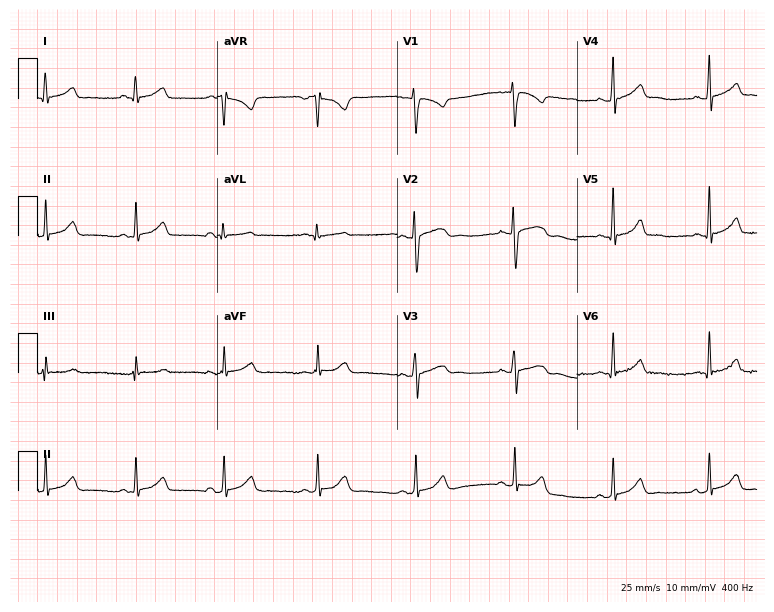
Electrocardiogram, a 17-year-old woman. Overall reading on record: normal ECG.